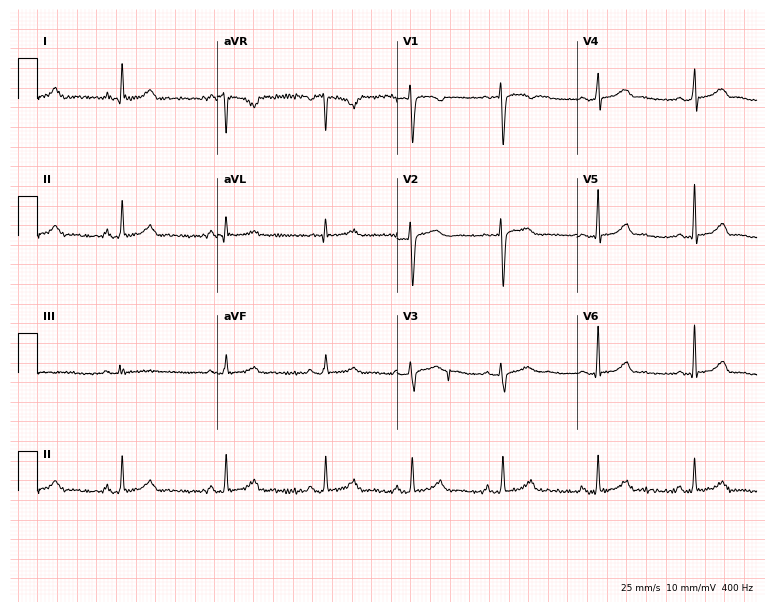
12-lead ECG from a woman, 31 years old. Recorded interpretation: within normal limits.